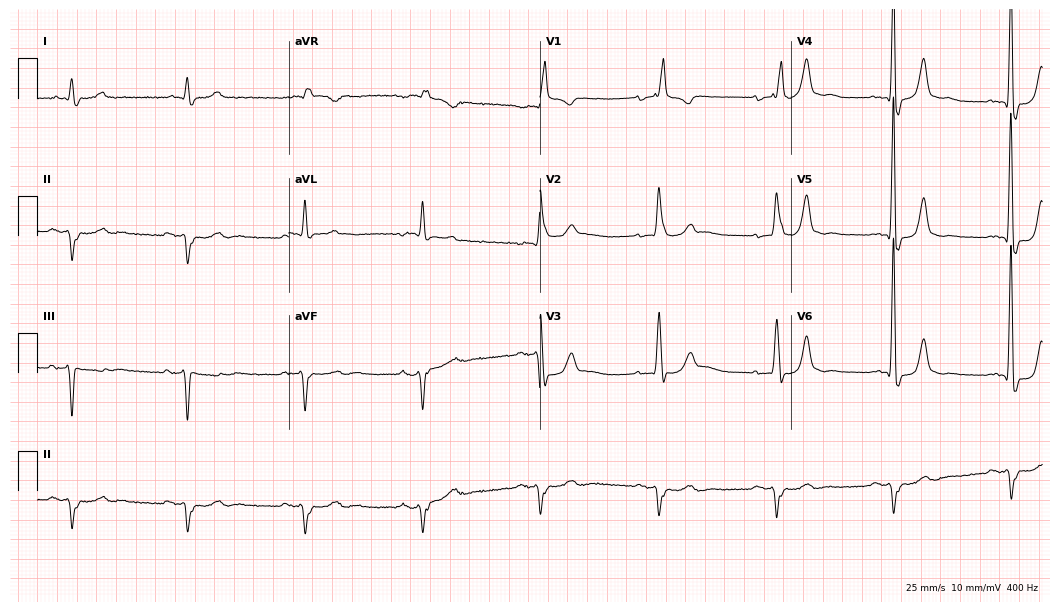
12-lead ECG from a male patient, 88 years old (10.2-second recording at 400 Hz). Shows right bundle branch block (RBBB).